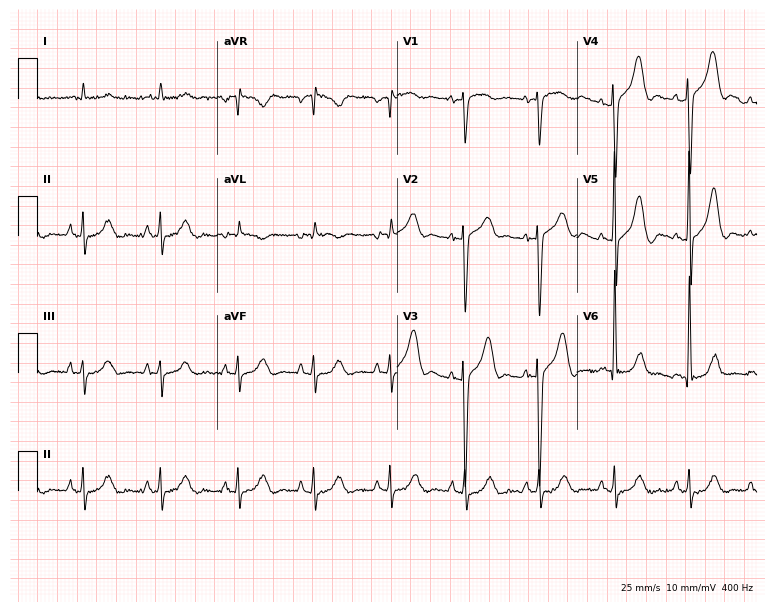
Resting 12-lead electrocardiogram (7.3-second recording at 400 Hz). Patient: a male, 75 years old. Read as a normal ECG.